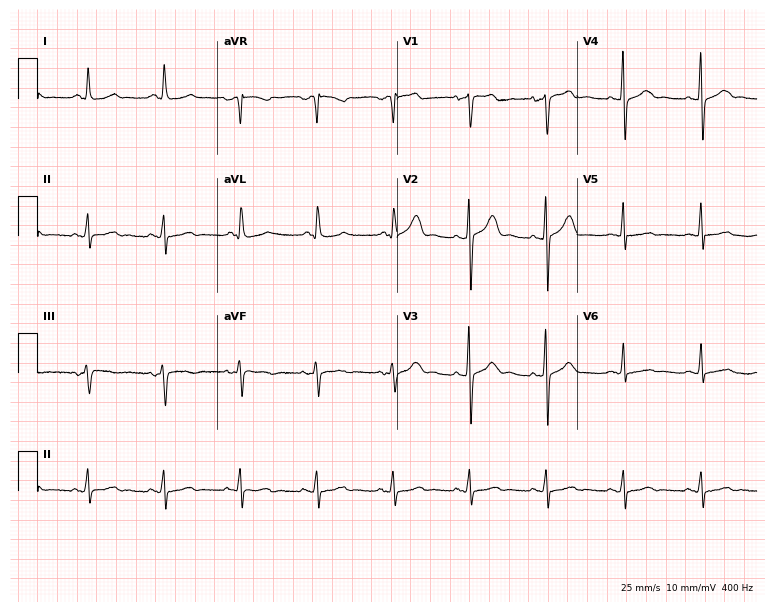
ECG — a 68-year-old man. Screened for six findings — first-degree AV block, right bundle branch block, left bundle branch block, sinus bradycardia, atrial fibrillation, sinus tachycardia — none is recorded. Only these six findings were labelled.